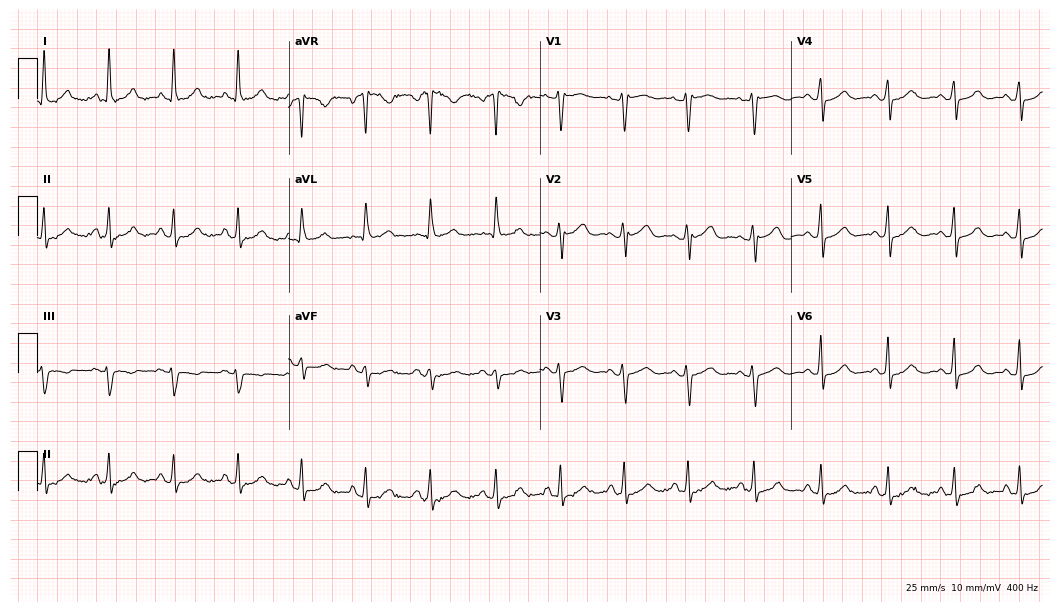
ECG — a 75-year-old male. Labelled as a normal ECG.